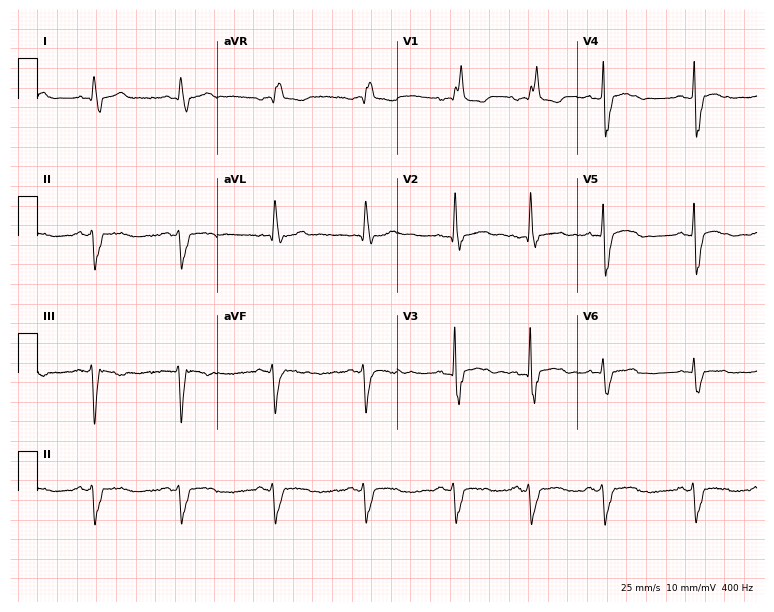
ECG (7.3-second recording at 400 Hz) — a male, 83 years old. Findings include right bundle branch block, left bundle branch block.